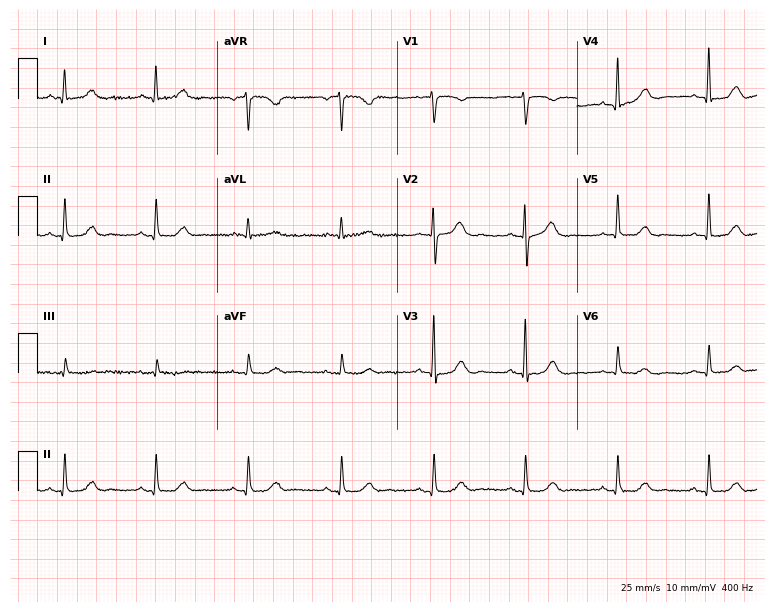
Standard 12-lead ECG recorded from a 71-year-old female. Read as a normal ECG.